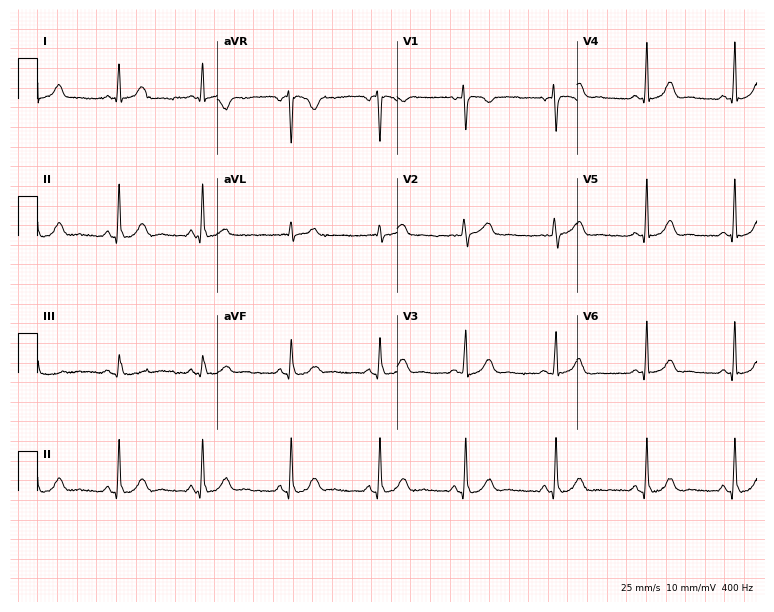
12-lead ECG (7.3-second recording at 400 Hz) from a female, 46 years old. Labelled as a normal ECG.